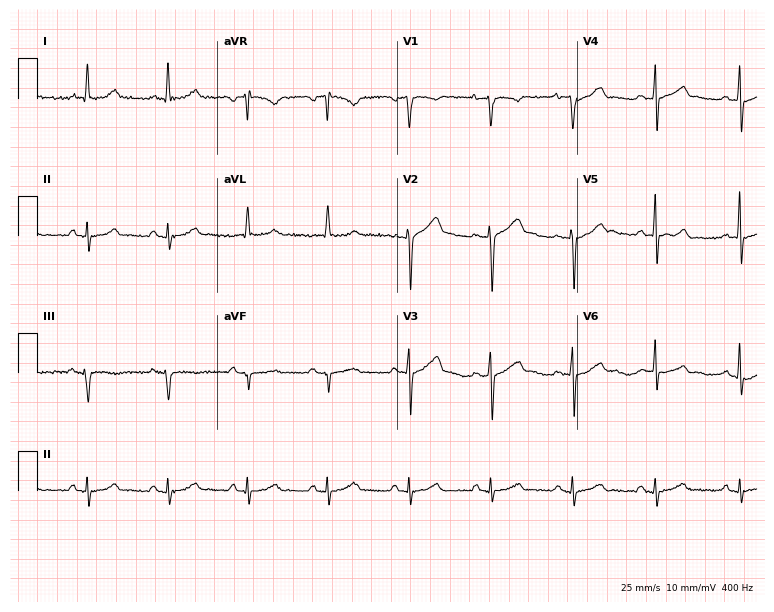
12-lead ECG (7.3-second recording at 400 Hz) from a 61-year-old male patient. Labelled as a normal ECG.